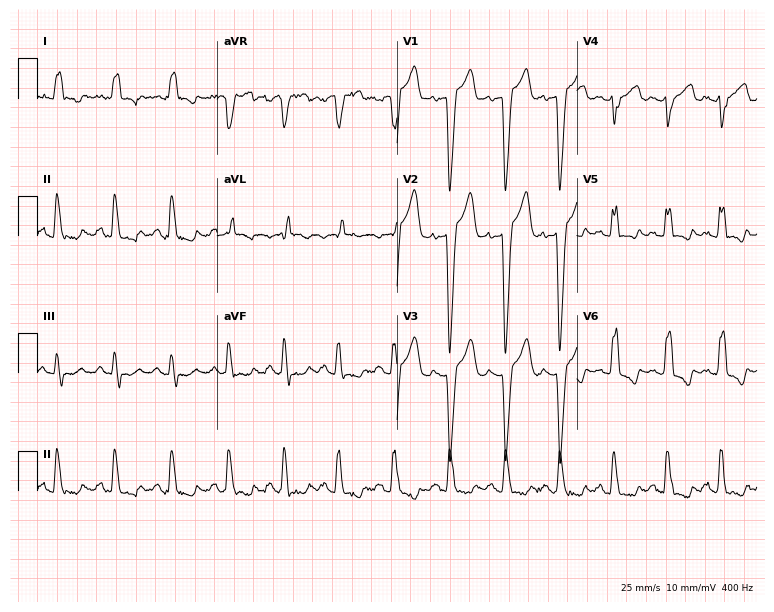
12-lead ECG (7.3-second recording at 400 Hz) from a female, 35 years old. Findings include sinus tachycardia (a sinus rate of 100 beats per minute or more).